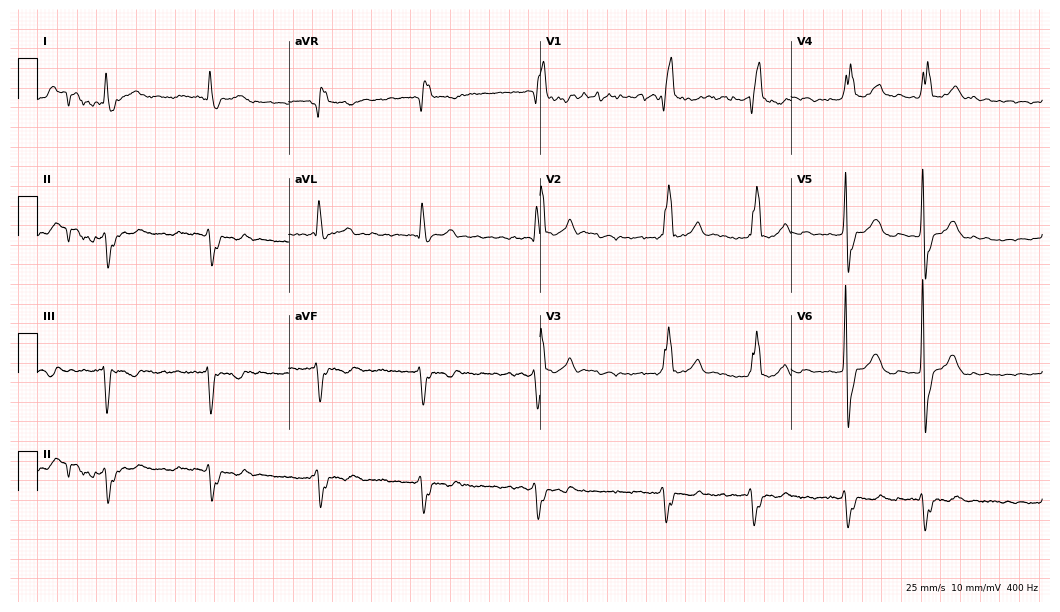
Resting 12-lead electrocardiogram (10.2-second recording at 400 Hz). Patient: a 67-year-old male. The tracing shows right bundle branch block, atrial fibrillation.